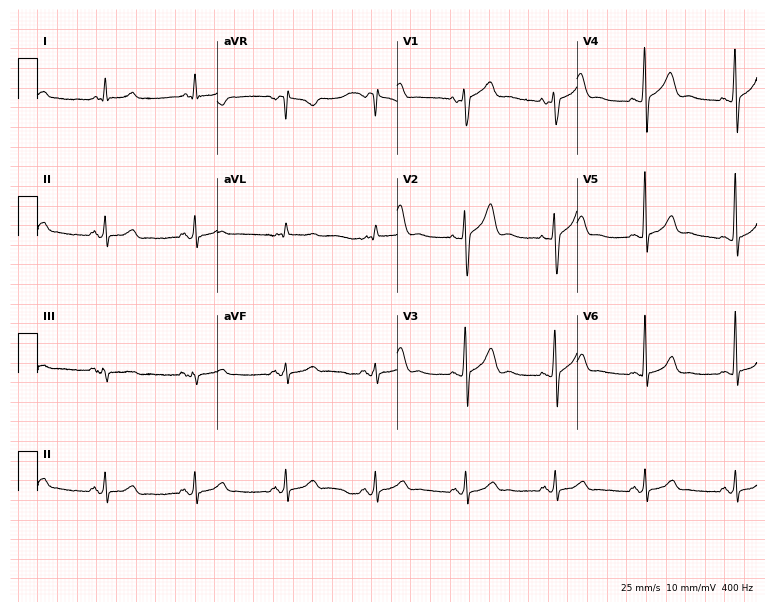
ECG (7.3-second recording at 400 Hz) — a 45-year-old female. Labelled as a normal ECG.